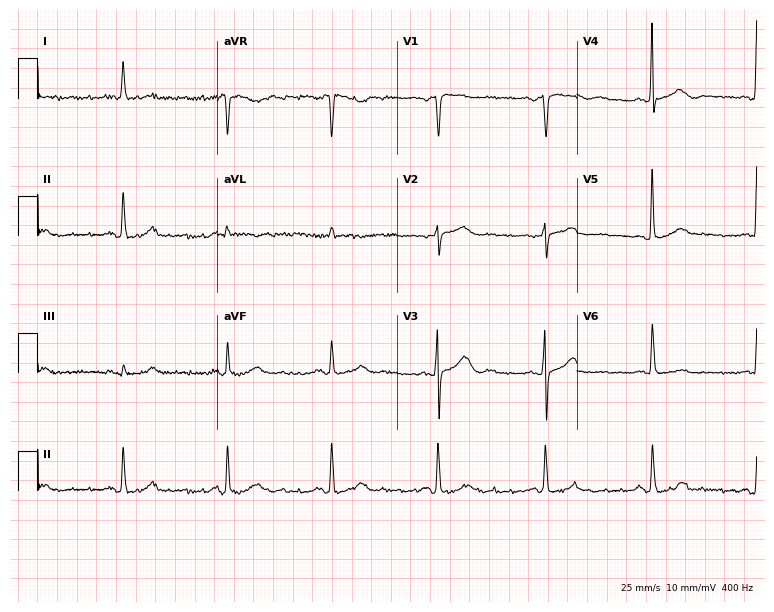
Electrocardiogram (7.3-second recording at 400 Hz), a female patient, 74 years old. Overall reading on record: normal ECG.